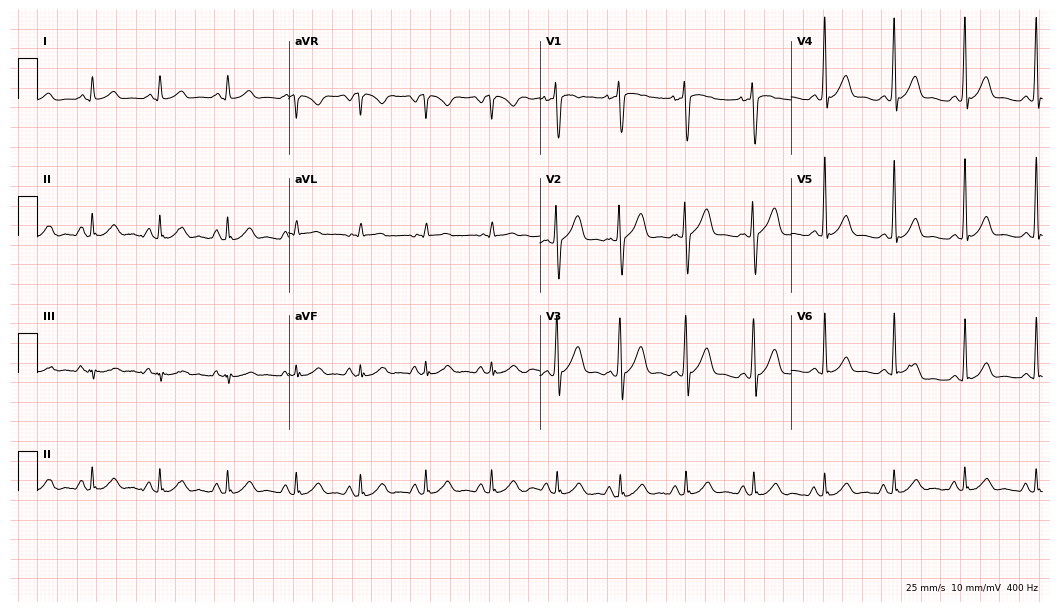
Electrocardiogram (10.2-second recording at 400 Hz), an 18-year-old male patient. Overall reading on record: normal ECG.